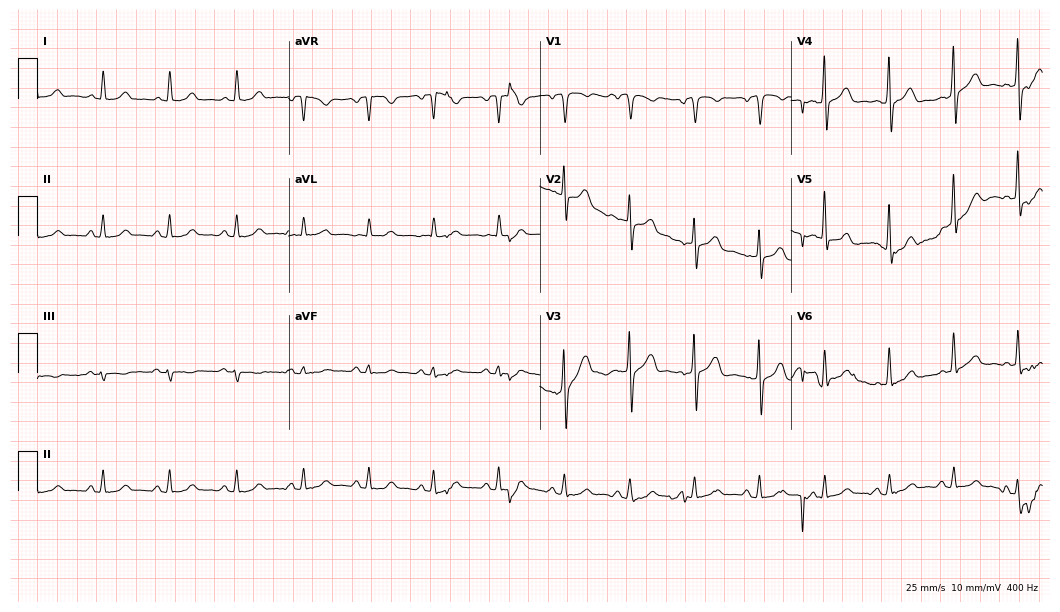
ECG (10.2-second recording at 400 Hz) — a male, 51 years old. Labelled as a normal ECG.